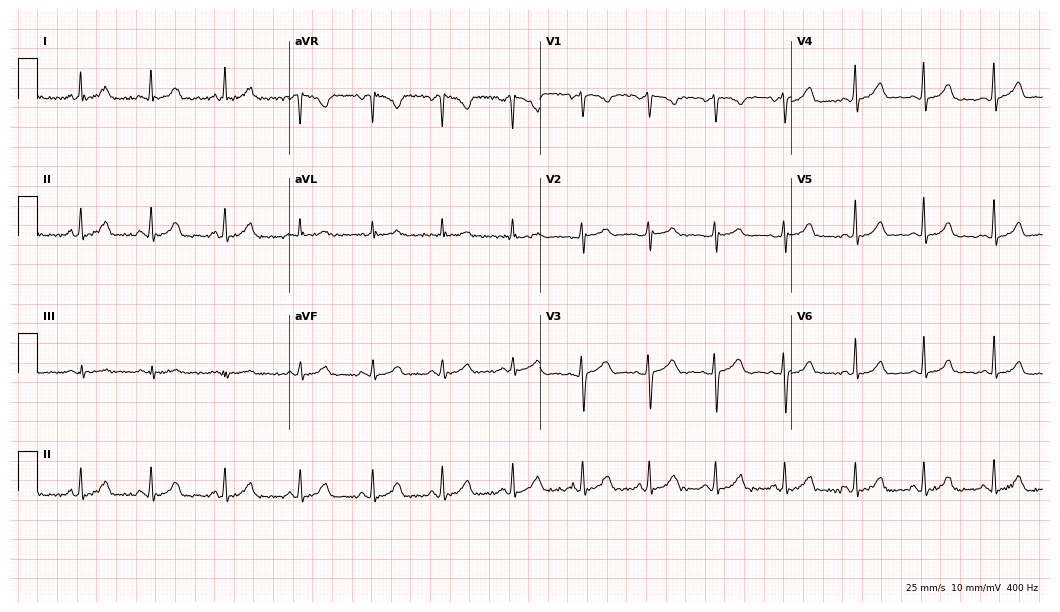
12-lead ECG (10.2-second recording at 400 Hz) from a female patient, 22 years old. Screened for six findings — first-degree AV block, right bundle branch block, left bundle branch block, sinus bradycardia, atrial fibrillation, sinus tachycardia — none is recorded.